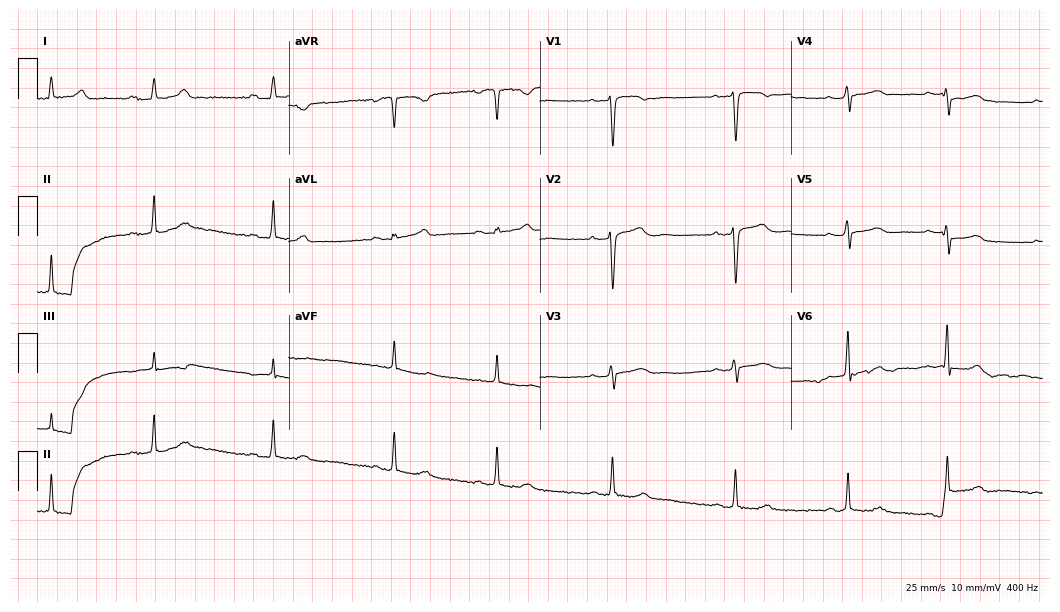
12-lead ECG from a 46-year-old female patient. Screened for six findings — first-degree AV block, right bundle branch block, left bundle branch block, sinus bradycardia, atrial fibrillation, sinus tachycardia — none is recorded.